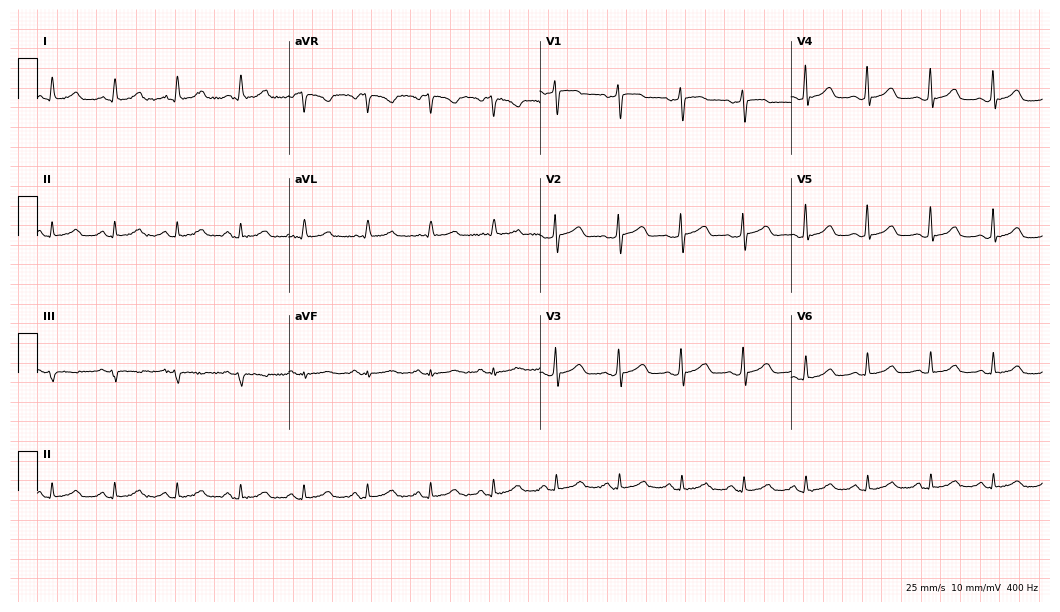
12-lead ECG from a 58-year-old woman (10.2-second recording at 400 Hz). Recorded interpretation: within normal limits.